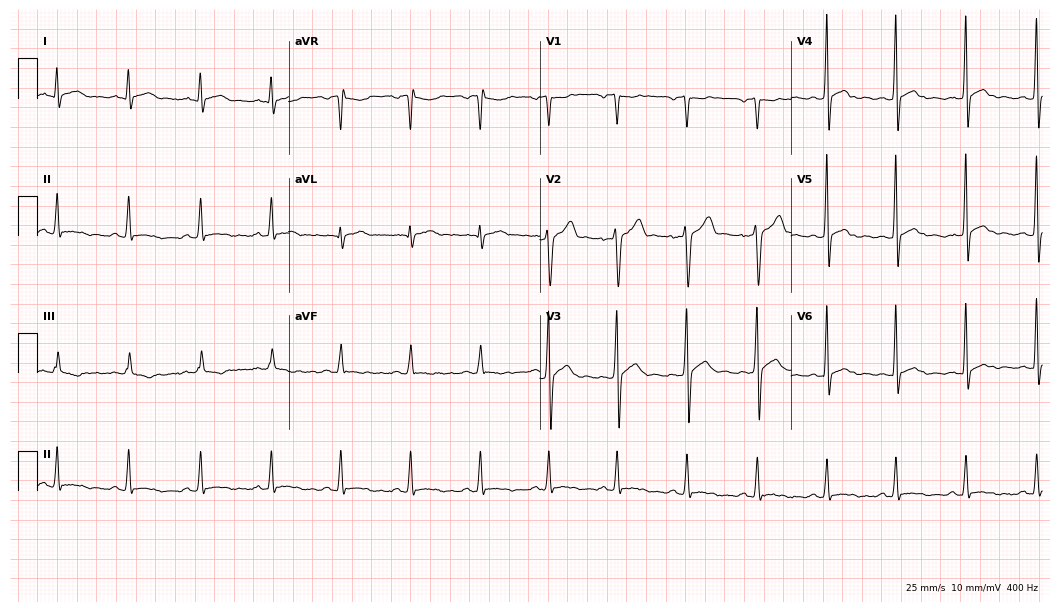
12-lead ECG (10.2-second recording at 400 Hz) from a male, 44 years old. Screened for six findings — first-degree AV block, right bundle branch block, left bundle branch block, sinus bradycardia, atrial fibrillation, sinus tachycardia — none is recorded.